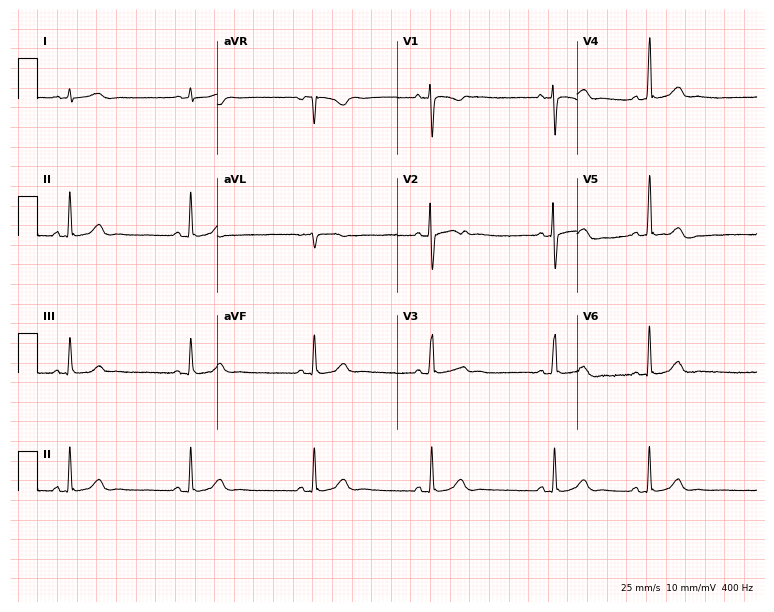
Resting 12-lead electrocardiogram. Patient: a 17-year-old woman. Read as a normal ECG.